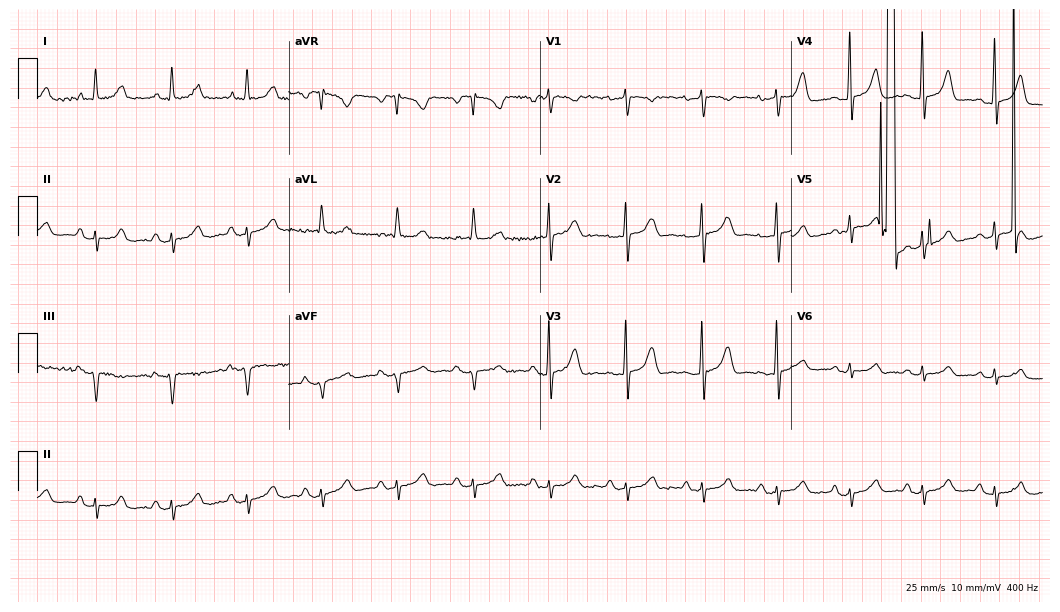
ECG — a female patient, 55 years old. Screened for six findings — first-degree AV block, right bundle branch block (RBBB), left bundle branch block (LBBB), sinus bradycardia, atrial fibrillation (AF), sinus tachycardia — none is recorded. Findings outside these six are not listed.